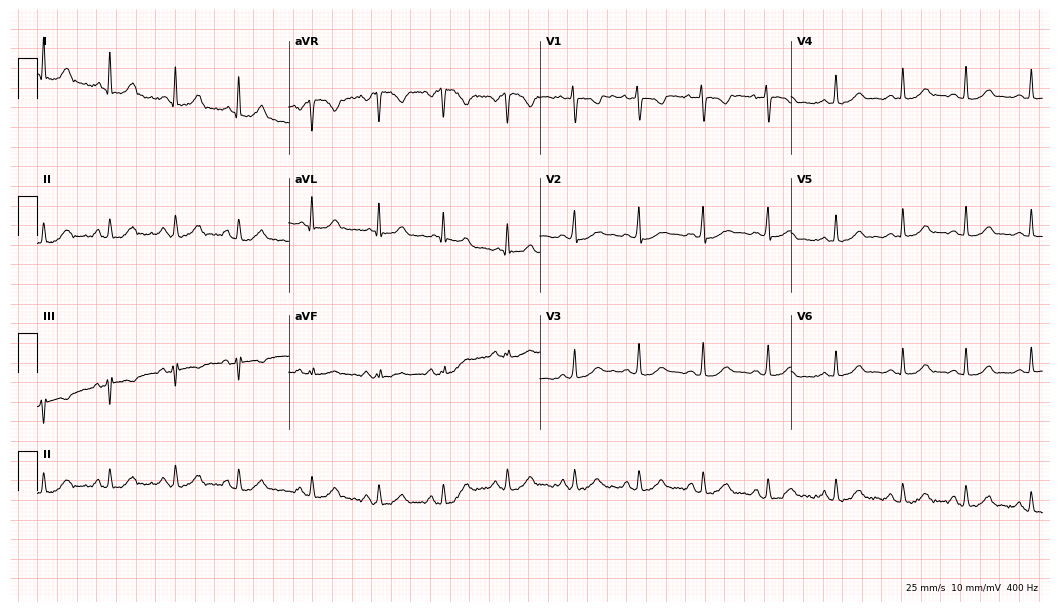
Standard 12-lead ECG recorded from a female patient, 30 years old. None of these six findings is recorded: first-degree AV block, right bundle branch block, left bundle branch block, sinus bradycardia, atrial fibrillation, sinus tachycardia.